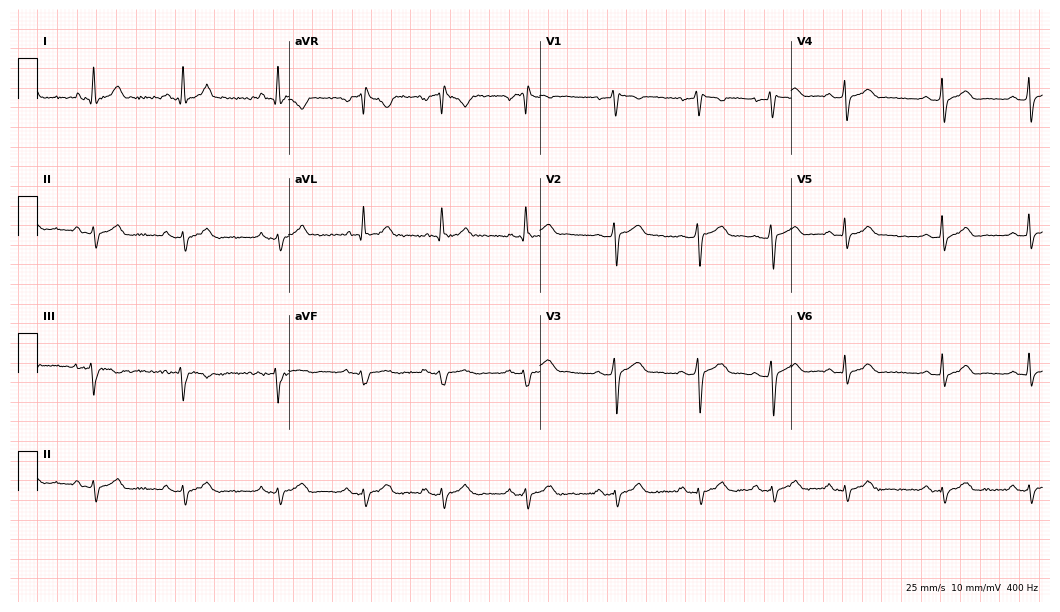
ECG — a 76-year-old male. Screened for six findings — first-degree AV block, right bundle branch block, left bundle branch block, sinus bradycardia, atrial fibrillation, sinus tachycardia — none is recorded.